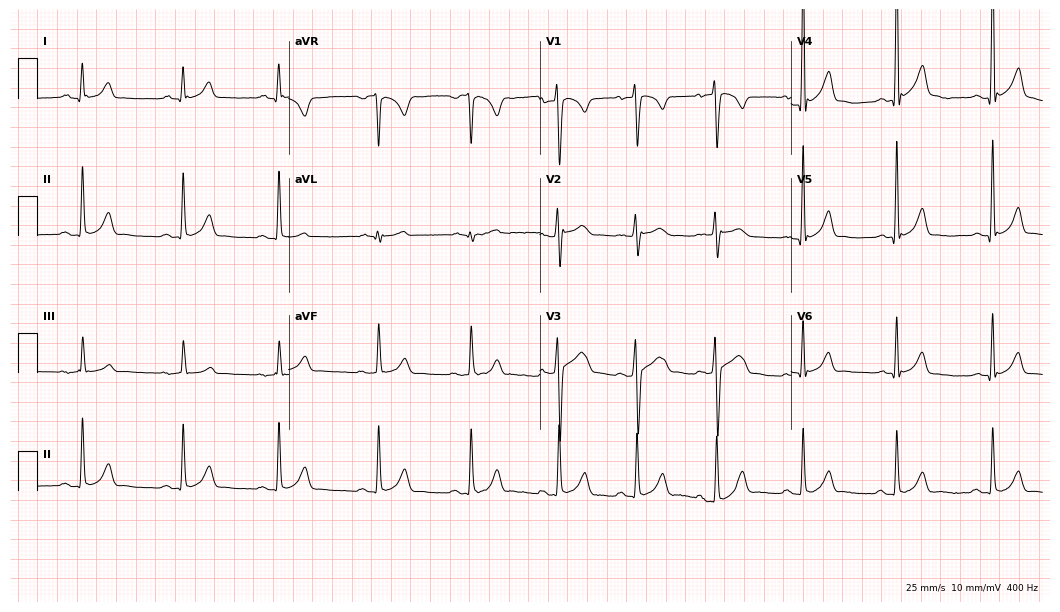
12-lead ECG from a 21-year-old male. Labelled as a normal ECG.